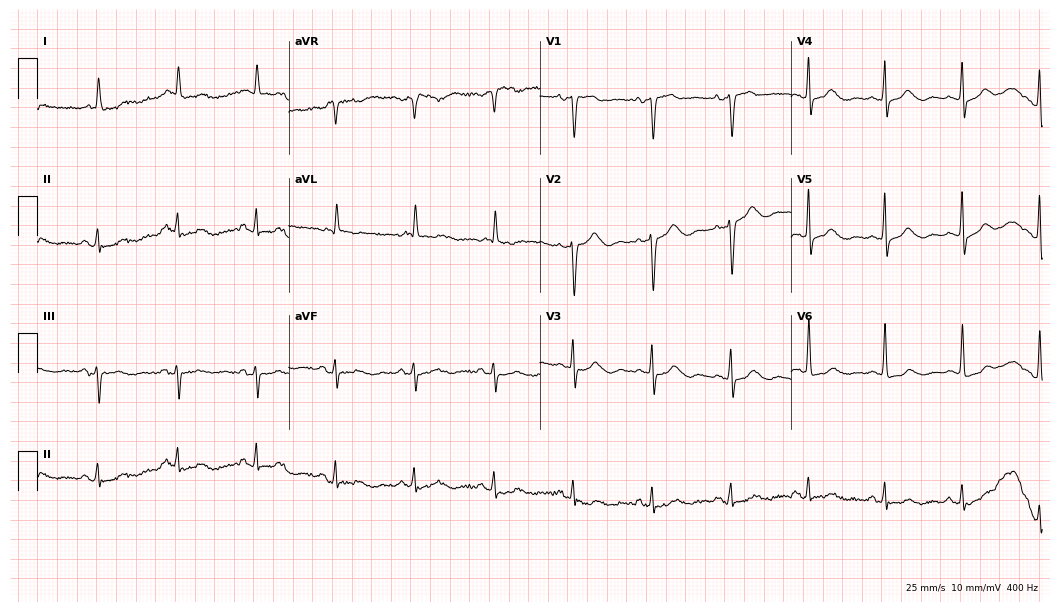
Resting 12-lead electrocardiogram (10.2-second recording at 400 Hz). Patient: a woman, 83 years old. Read as a normal ECG.